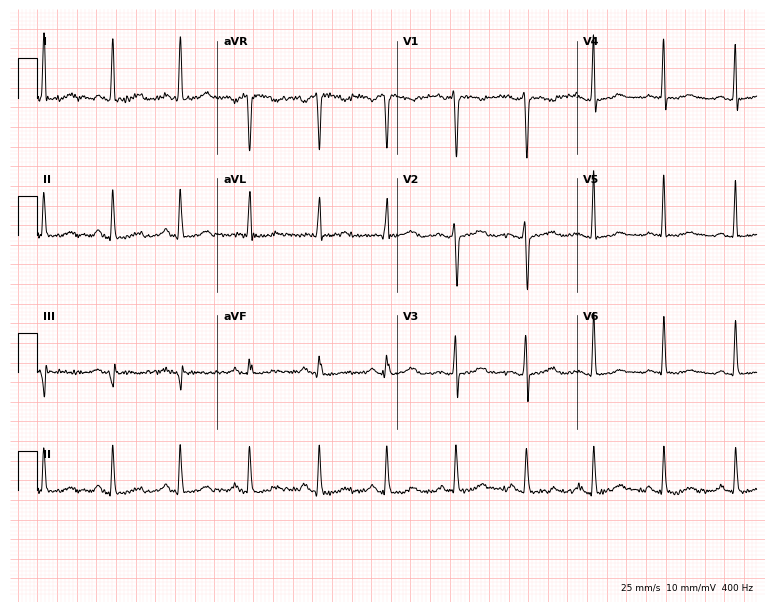
Standard 12-lead ECG recorded from a 35-year-old female patient. None of these six findings is recorded: first-degree AV block, right bundle branch block, left bundle branch block, sinus bradycardia, atrial fibrillation, sinus tachycardia. Findings outside these six are not listed.